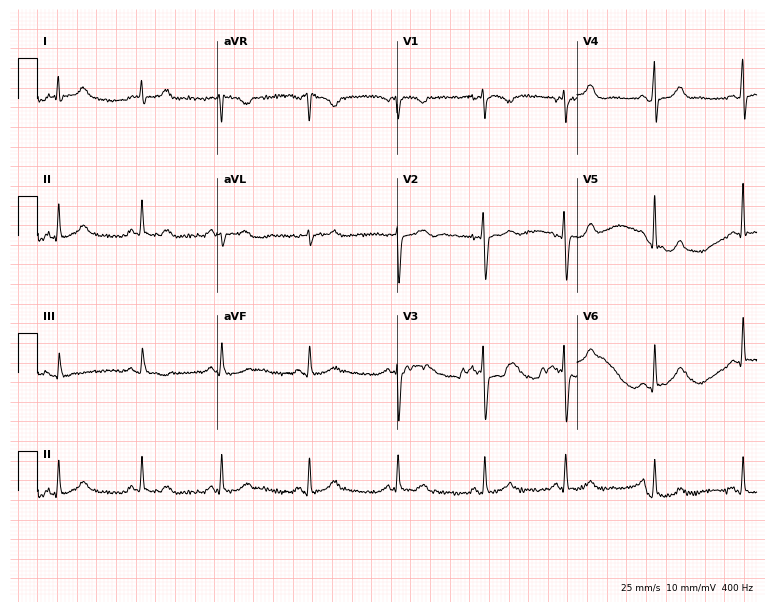
12-lead ECG from a 40-year-old female patient. Screened for six findings — first-degree AV block, right bundle branch block, left bundle branch block, sinus bradycardia, atrial fibrillation, sinus tachycardia — none is recorded. Findings outside these six are not listed.